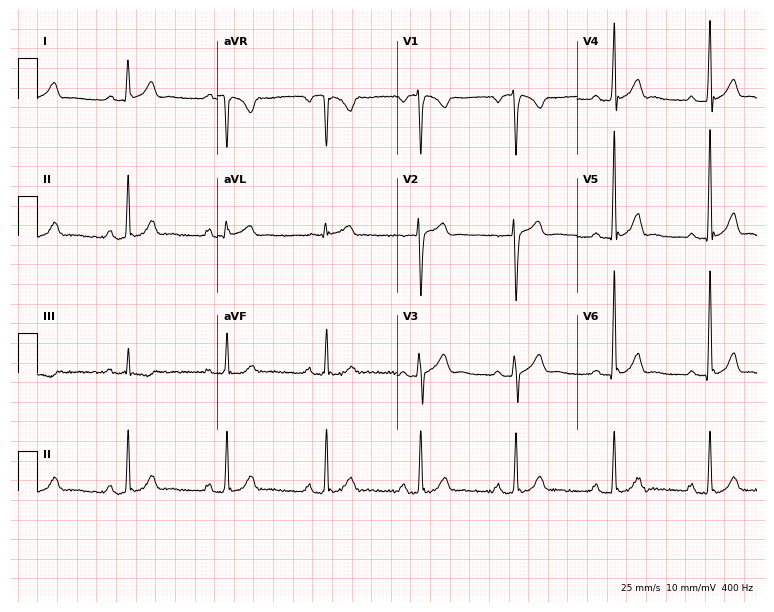
12-lead ECG from a 32-year-old man. Labelled as a normal ECG.